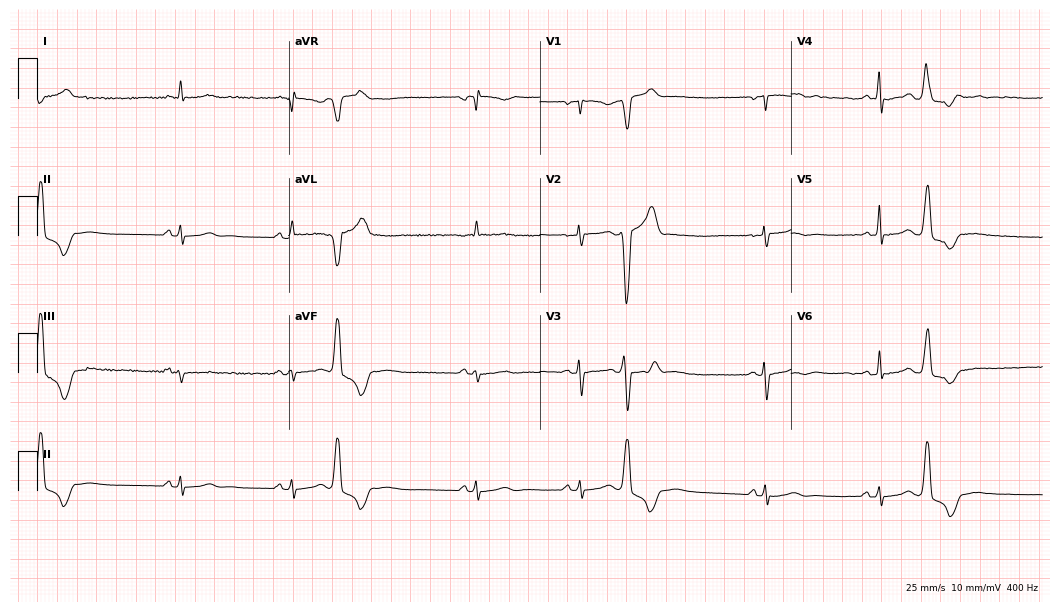
Standard 12-lead ECG recorded from a 41-year-old female. None of these six findings is recorded: first-degree AV block, right bundle branch block, left bundle branch block, sinus bradycardia, atrial fibrillation, sinus tachycardia.